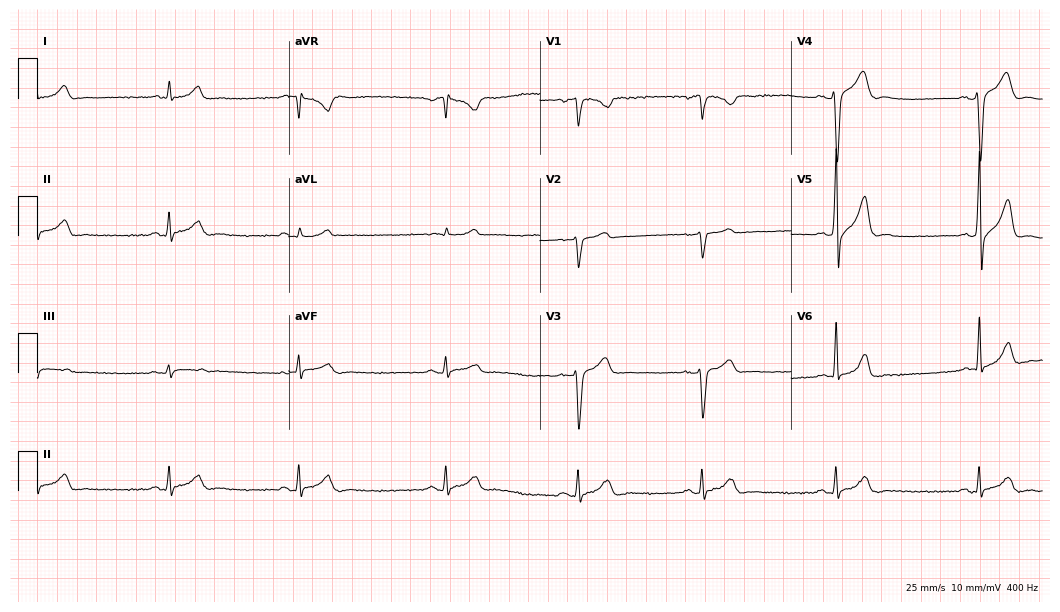
ECG (10.2-second recording at 400 Hz) — a 35-year-old male. Findings include sinus bradycardia (a sinus rate of 50 beats per minute or less).